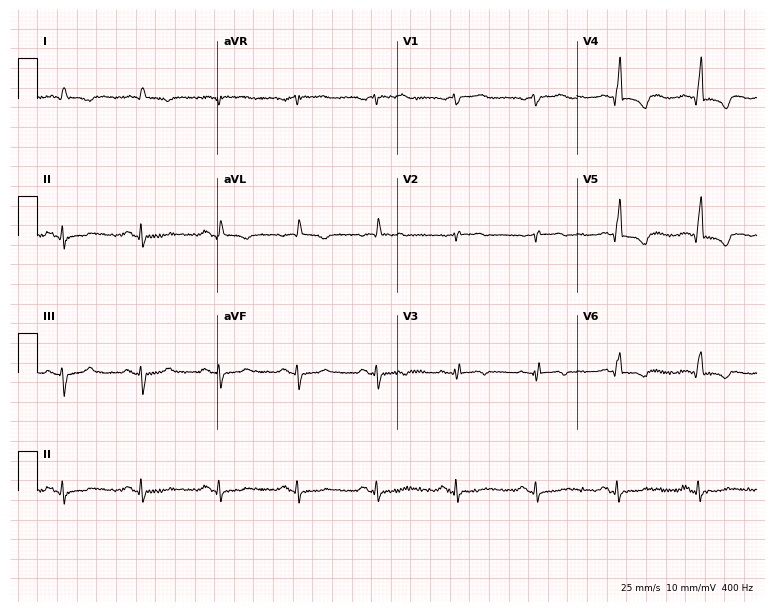
Standard 12-lead ECG recorded from an 82-year-old male patient. None of these six findings is recorded: first-degree AV block, right bundle branch block (RBBB), left bundle branch block (LBBB), sinus bradycardia, atrial fibrillation (AF), sinus tachycardia. Findings outside these six are not listed.